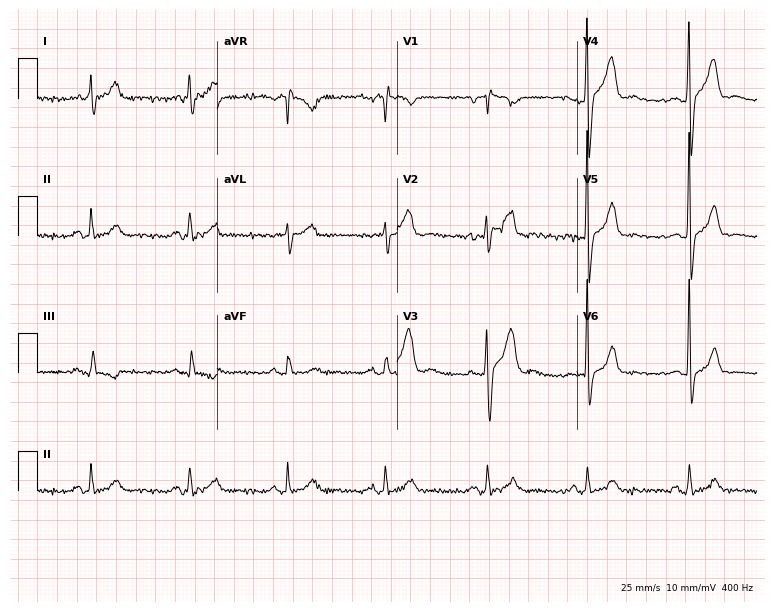
12-lead ECG from a 40-year-old man (7.3-second recording at 400 Hz). No first-degree AV block, right bundle branch block, left bundle branch block, sinus bradycardia, atrial fibrillation or sinus tachycardia recorded for this tracing.